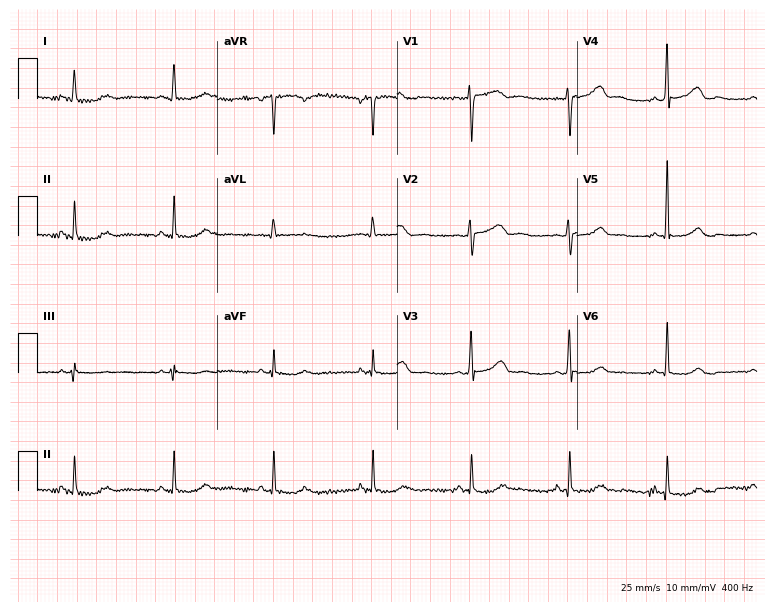
Standard 12-lead ECG recorded from a female, 52 years old (7.3-second recording at 400 Hz). Read as a normal ECG.